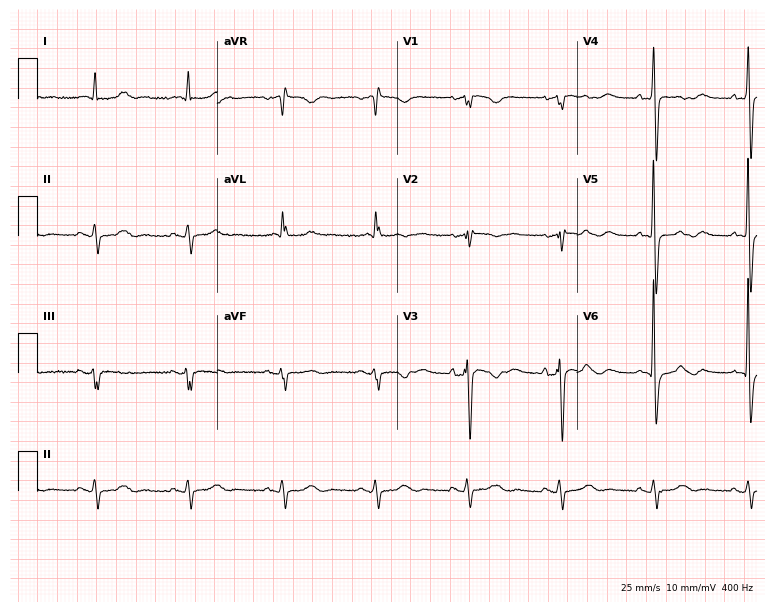
Standard 12-lead ECG recorded from a 75-year-old male (7.3-second recording at 400 Hz). None of these six findings is recorded: first-degree AV block, right bundle branch block, left bundle branch block, sinus bradycardia, atrial fibrillation, sinus tachycardia. Other findings, if any, are not listed.